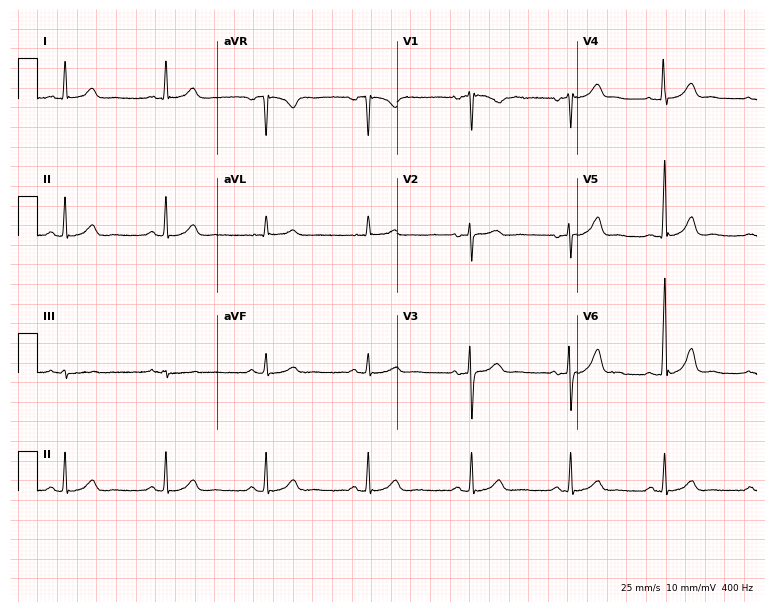
Resting 12-lead electrocardiogram. Patient: a 47-year-old female. Read as a normal ECG.